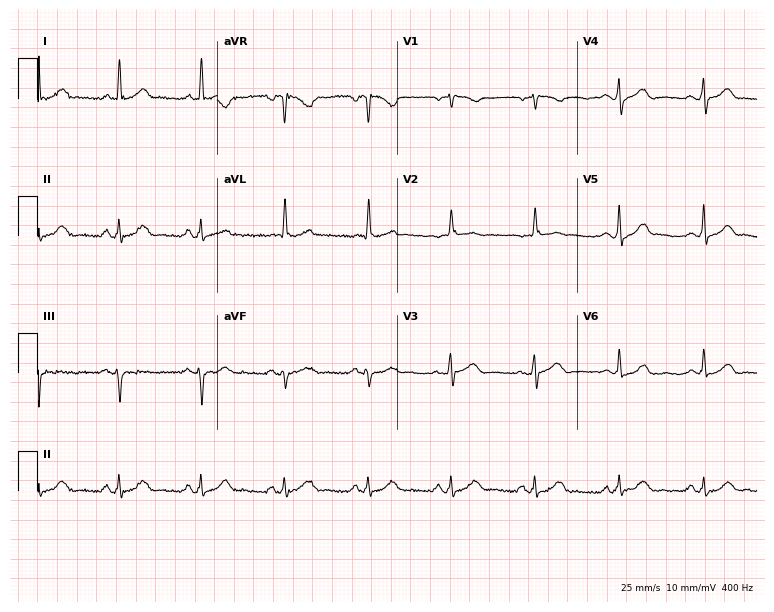
Resting 12-lead electrocardiogram. Patient: a man, 70 years old. None of these six findings is recorded: first-degree AV block, right bundle branch block, left bundle branch block, sinus bradycardia, atrial fibrillation, sinus tachycardia. Findings outside these six are not listed.